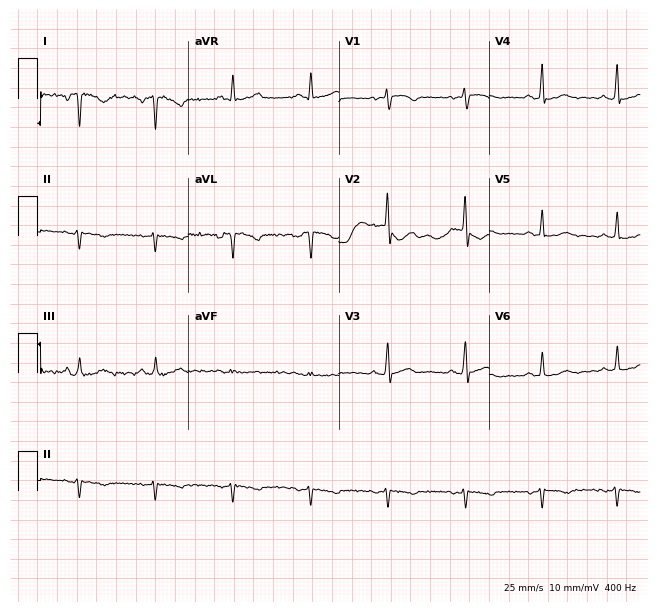
12-lead ECG from a female patient, 57 years old (6.1-second recording at 400 Hz). Recorded interpretation: within normal limits.